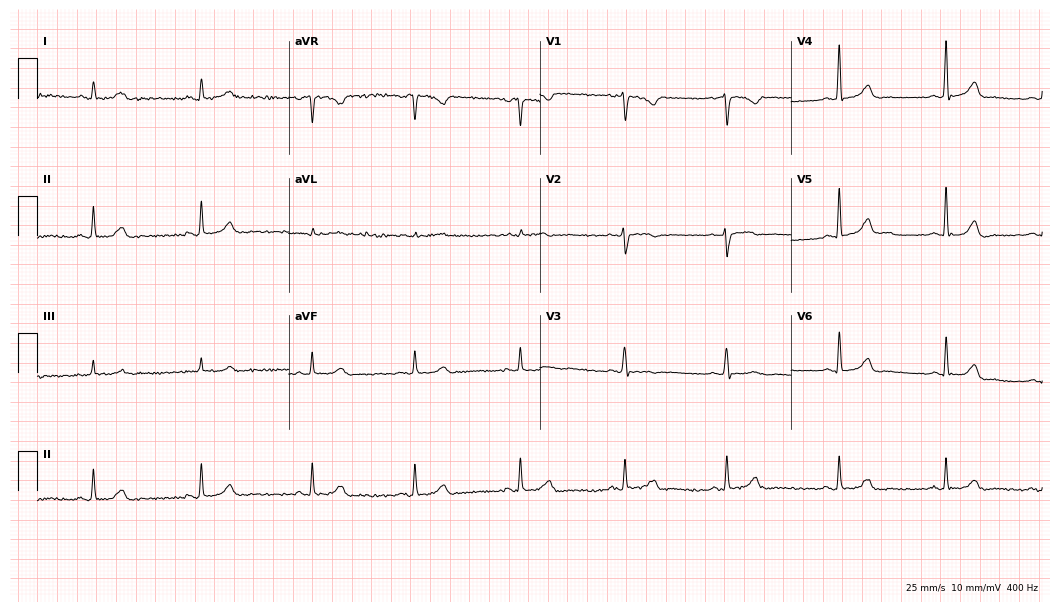
12-lead ECG (10.2-second recording at 400 Hz) from a 25-year-old woman. Labelled as a normal ECG.